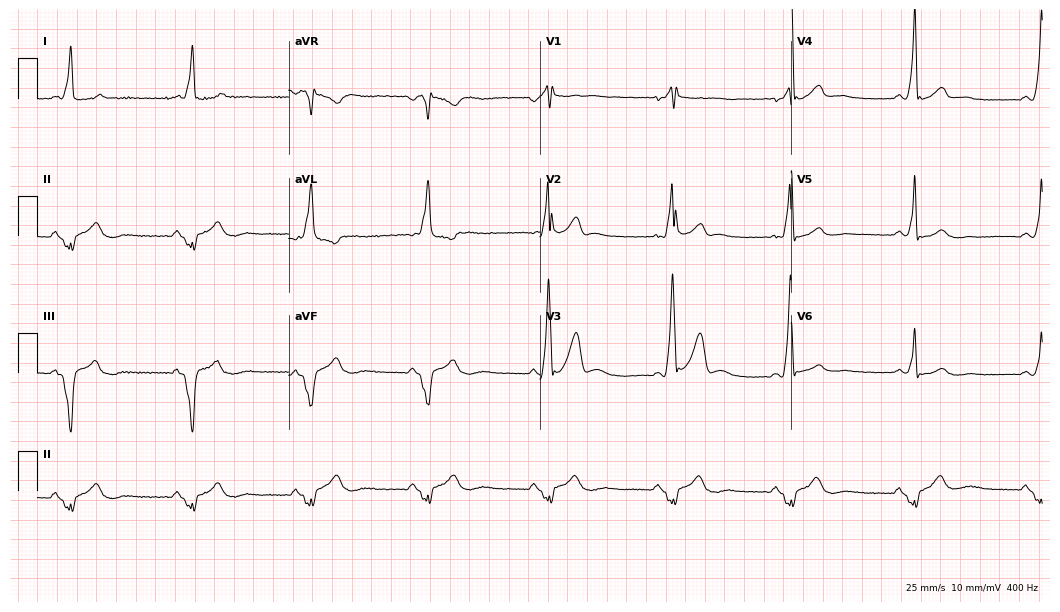
Electrocardiogram (10.2-second recording at 400 Hz), a male, 35 years old. Interpretation includes sinus bradycardia (a sinus rate of 50 beats per minute or less).